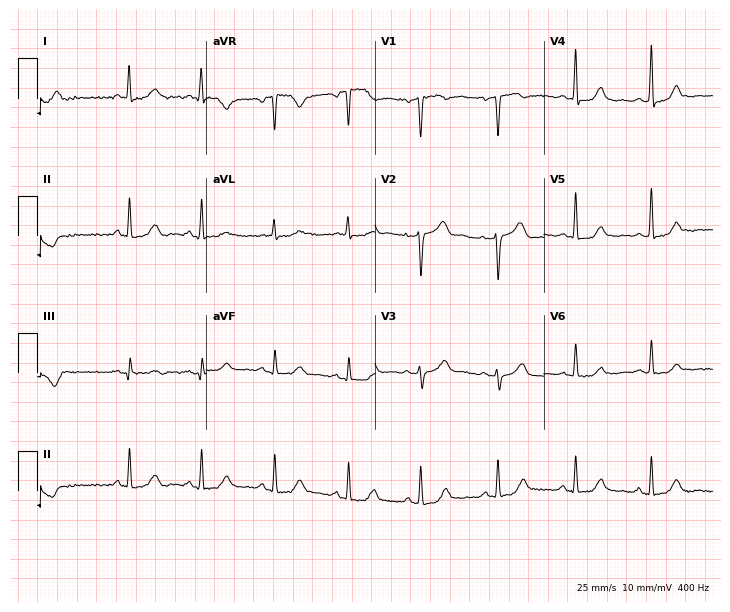
Resting 12-lead electrocardiogram (6.9-second recording at 400 Hz). Patient: a 68-year-old woman. None of these six findings is recorded: first-degree AV block, right bundle branch block (RBBB), left bundle branch block (LBBB), sinus bradycardia, atrial fibrillation (AF), sinus tachycardia. Findings outside these six are not listed.